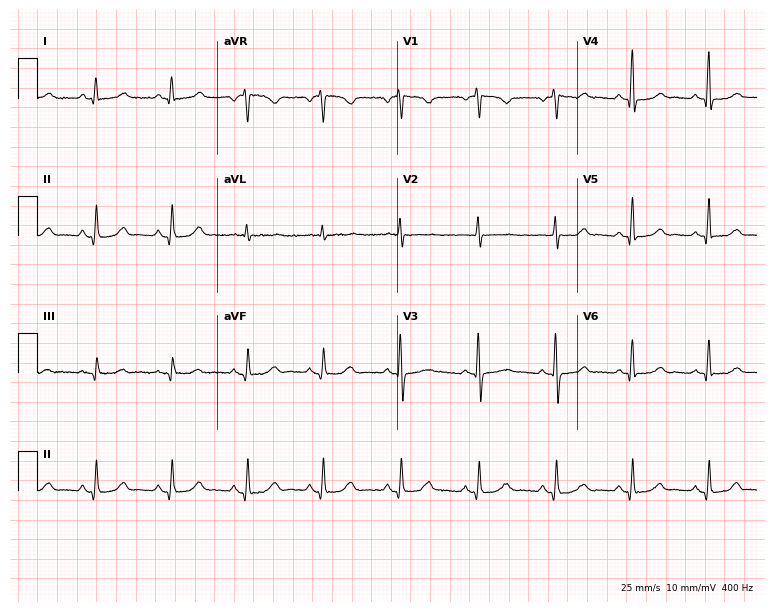
12-lead ECG from a 65-year-old female patient. Recorded interpretation: within normal limits.